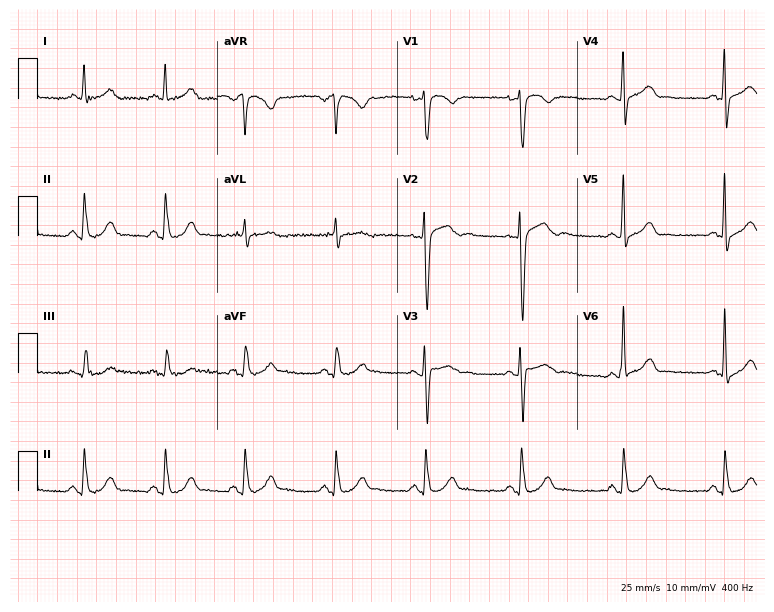
12-lead ECG from a 25-year-old male (7.3-second recording at 400 Hz). Recorded interpretation: within normal limits.